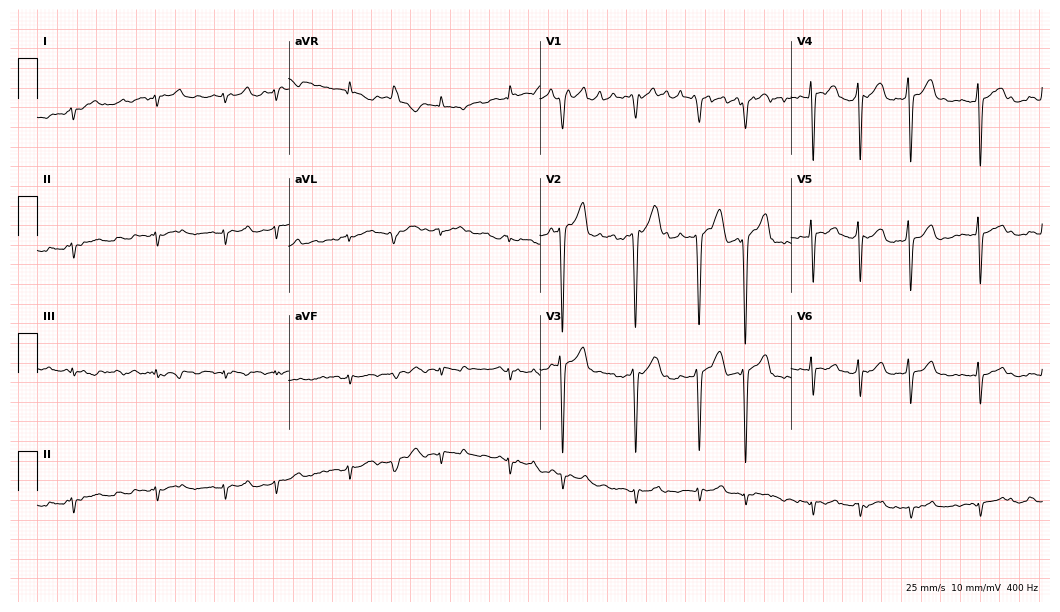
12-lead ECG (10.2-second recording at 400 Hz) from a 61-year-old man. Screened for six findings — first-degree AV block, right bundle branch block, left bundle branch block, sinus bradycardia, atrial fibrillation, sinus tachycardia — none is recorded. Only these six findings were labelled.